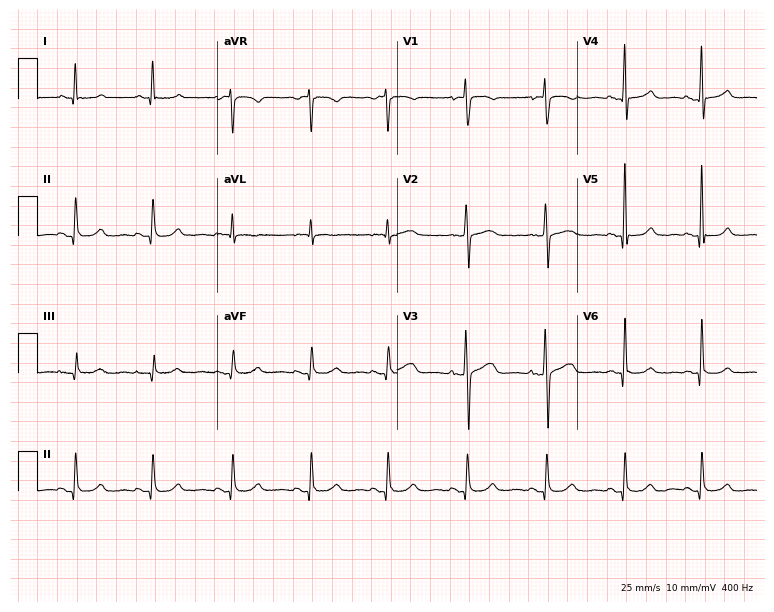
12-lead ECG from a 55-year-old female (7.3-second recording at 400 Hz). Recorded interpretation: within normal limits.